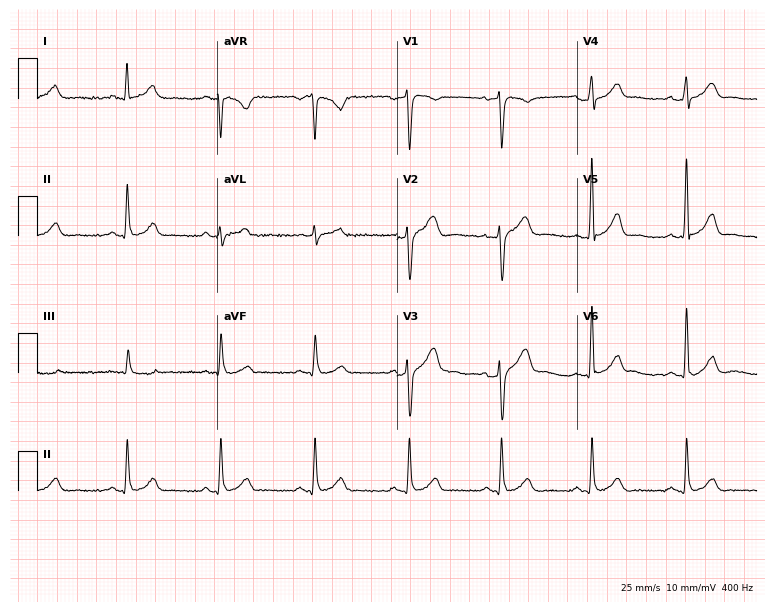
ECG — a man, 38 years old. Labelled as a normal ECG.